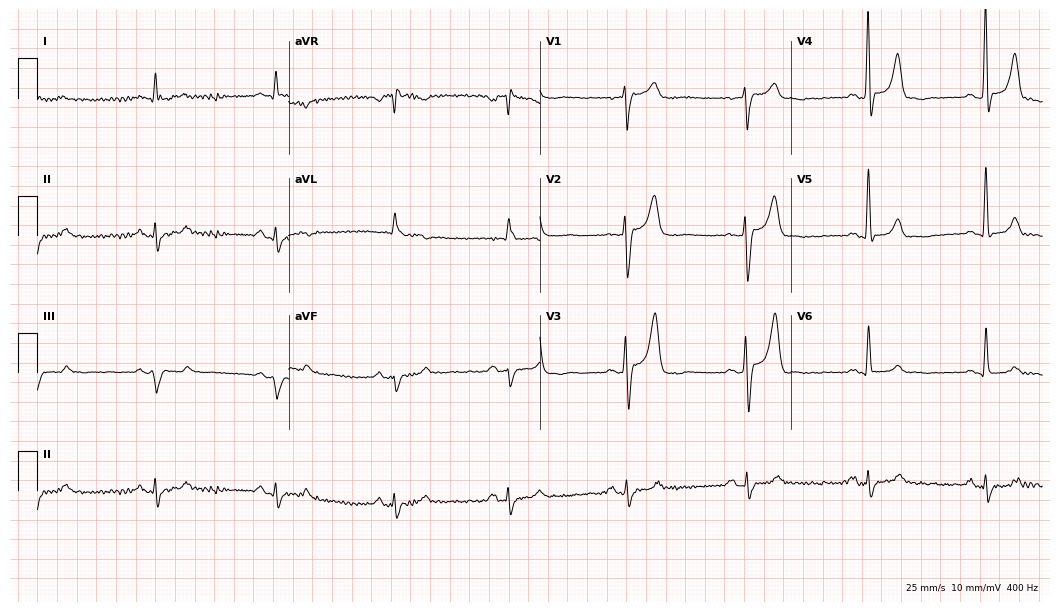
12-lead ECG from a man, 78 years old (10.2-second recording at 400 Hz). Shows sinus bradycardia (a sinus rate of 50 beats per minute or less).